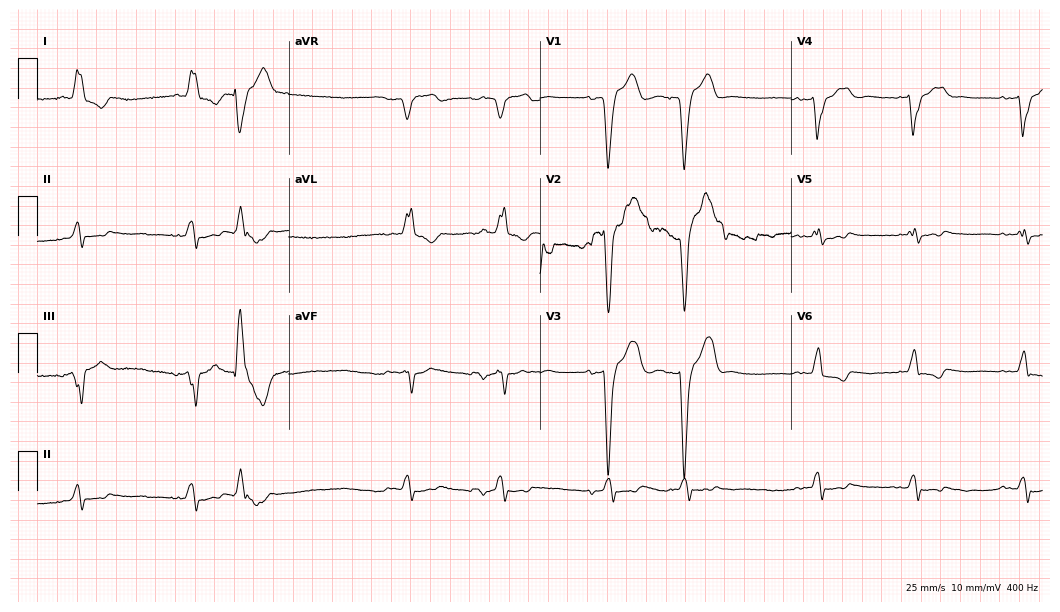
Electrocardiogram, a male, 83 years old. Interpretation includes left bundle branch block.